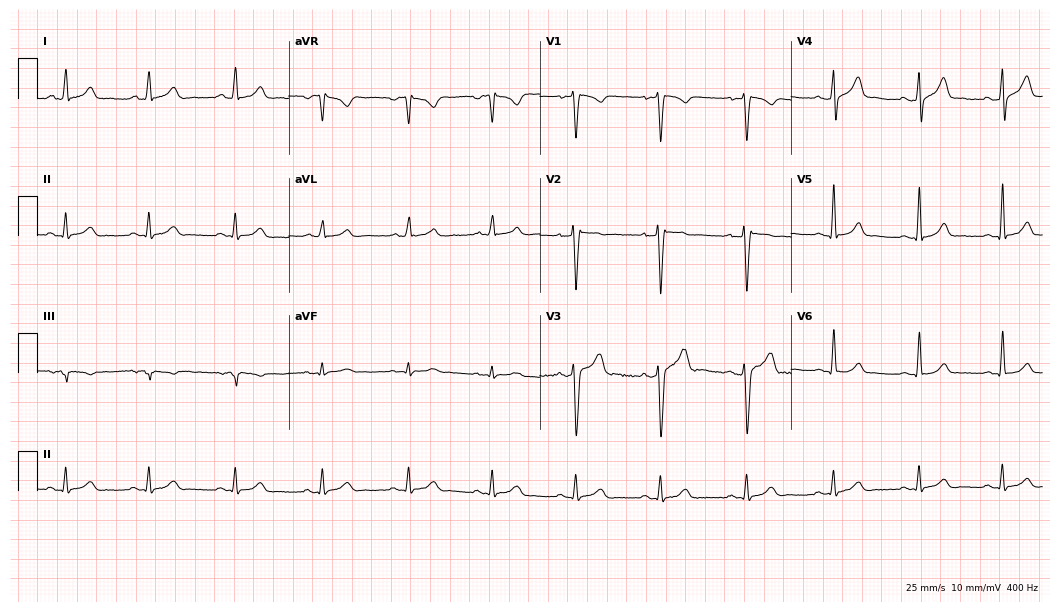
Electrocardiogram, a 31-year-old male. Overall reading on record: normal ECG.